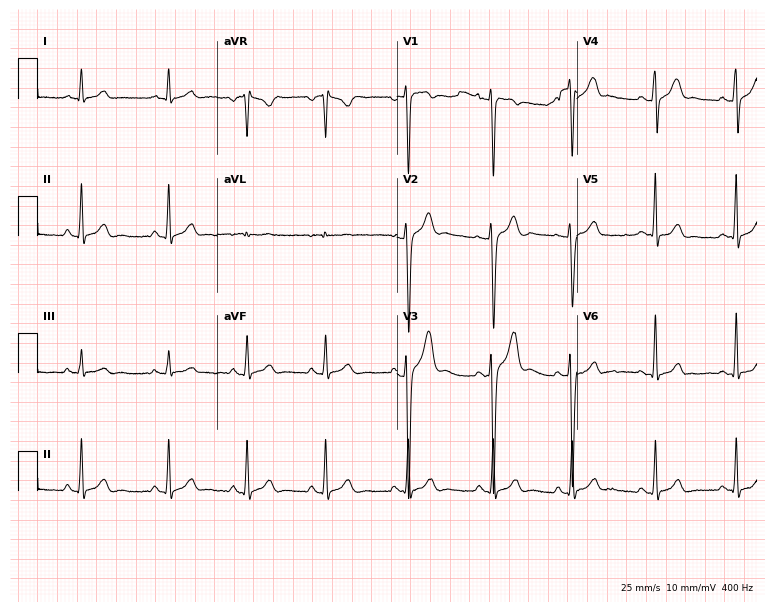
Standard 12-lead ECG recorded from a 19-year-old male patient. None of these six findings is recorded: first-degree AV block, right bundle branch block, left bundle branch block, sinus bradycardia, atrial fibrillation, sinus tachycardia. Only these six findings were labelled.